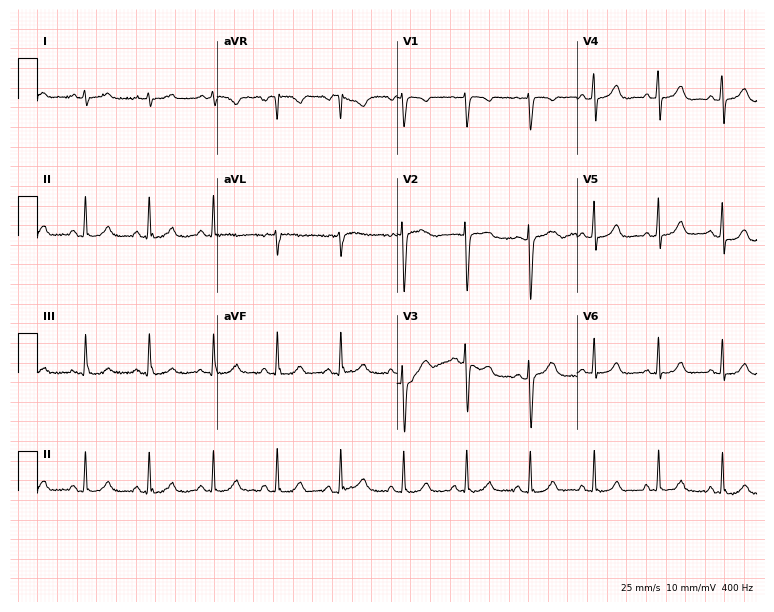
Resting 12-lead electrocardiogram (7.3-second recording at 400 Hz). Patient: a 29-year-old female. None of these six findings is recorded: first-degree AV block, right bundle branch block (RBBB), left bundle branch block (LBBB), sinus bradycardia, atrial fibrillation (AF), sinus tachycardia.